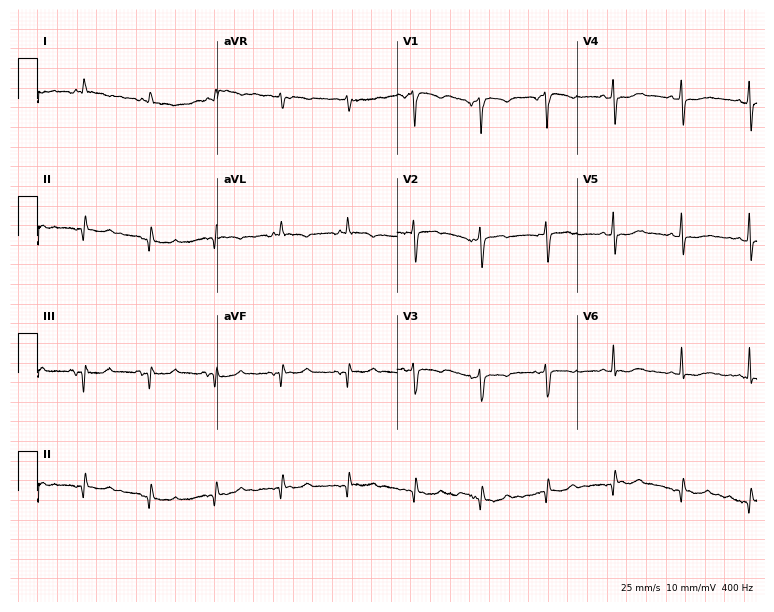
Resting 12-lead electrocardiogram (7.3-second recording at 400 Hz). Patient: a 72-year-old female. None of these six findings is recorded: first-degree AV block, right bundle branch block, left bundle branch block, sinus bradycardia, atrial fibrillation, sinus tachycardia. Findings outside these six are not listed.